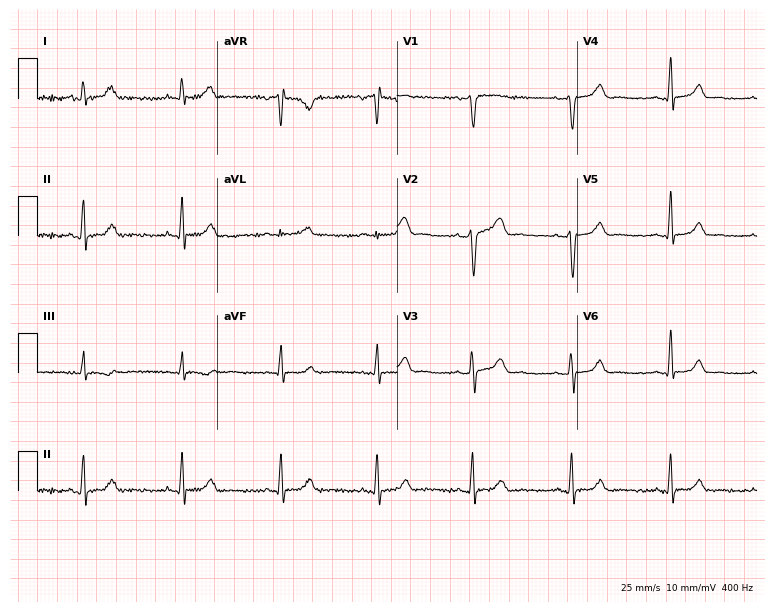
Standard 12-lead ECG recorded from a 43-year-old woman. Read as a normal ECG.